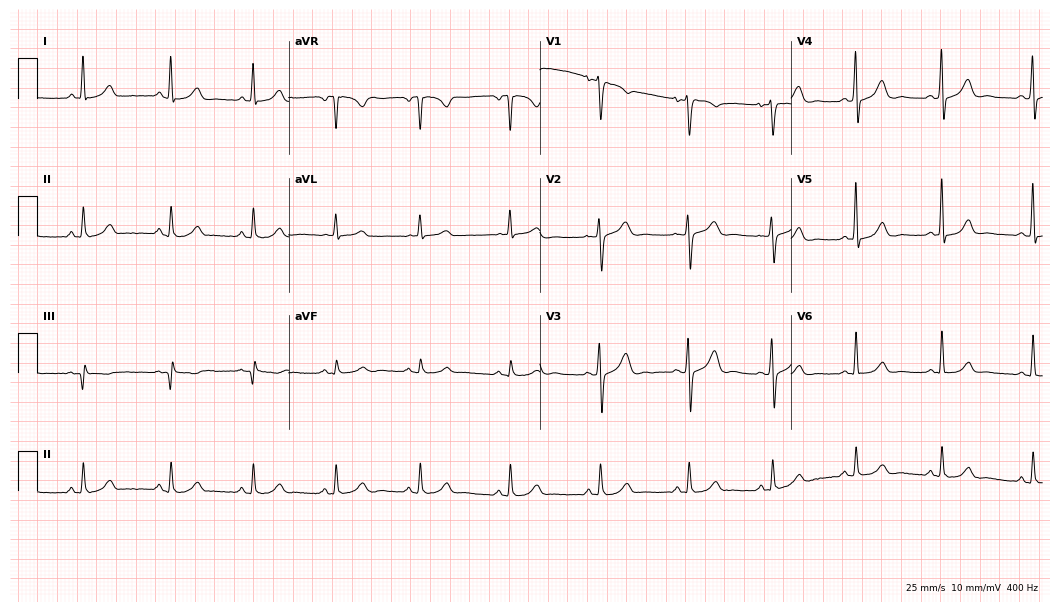
ECG — a woman, 34 years old. Labelled as a normal ECG.